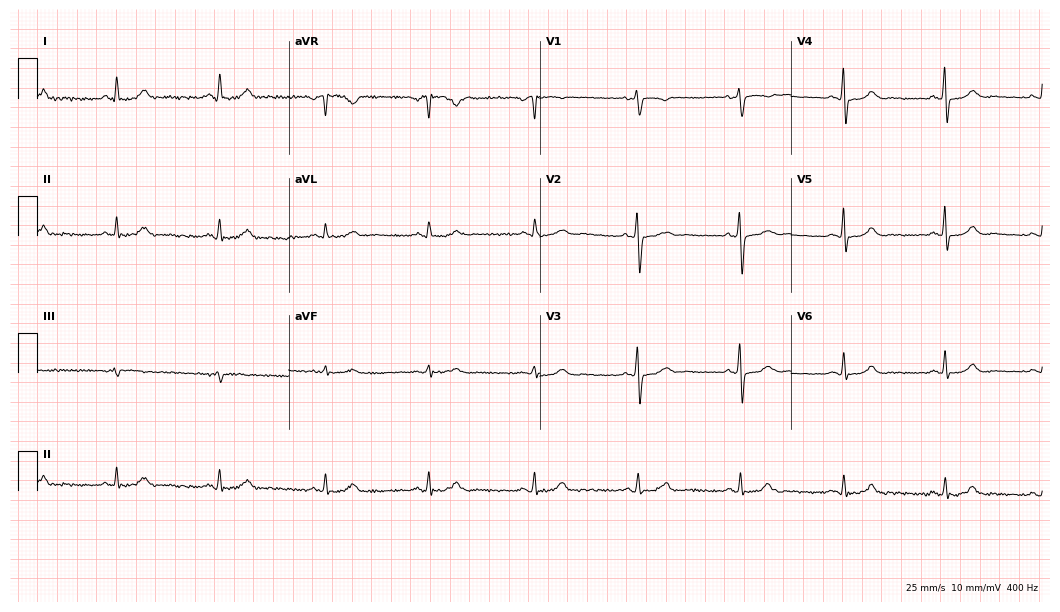
Resting 12-lead electrocardiogram. Patient: a 48-year-old woman. Read as a normal ECG.